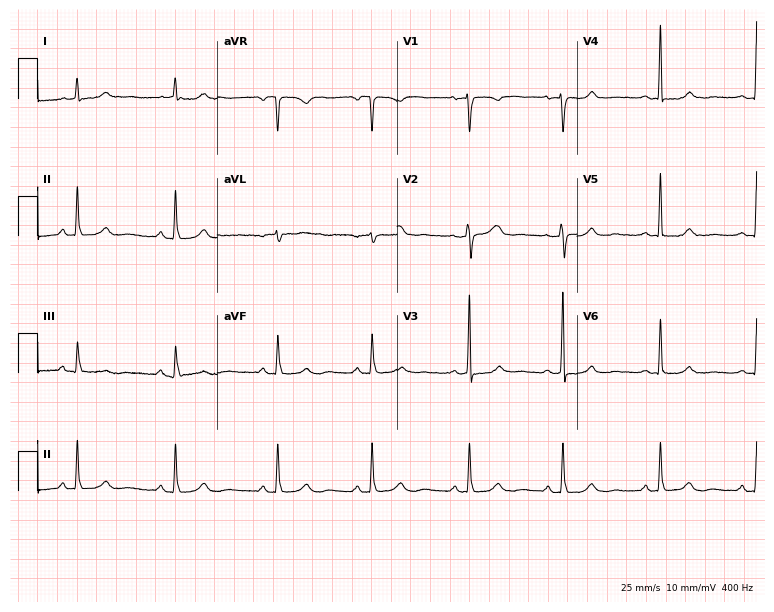
ECG (7.3-second recording at 400 Hz) — a woman, 51 years old. Labelled as a normal ECG.